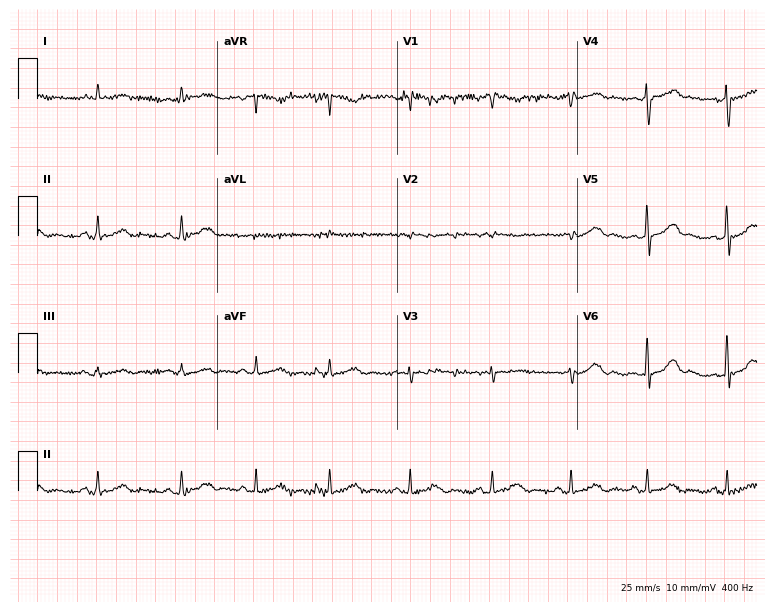
12-lead ECG from a woman, 25 years old. Screened for six findings — first-degree AV block, right bundle branch block (RBBB), left bundle branch block (LBBB), sinus bradycardia, atrial fibrillation (AF), sinus tachycardia — none is recorded. Findings outside these six are not listed.